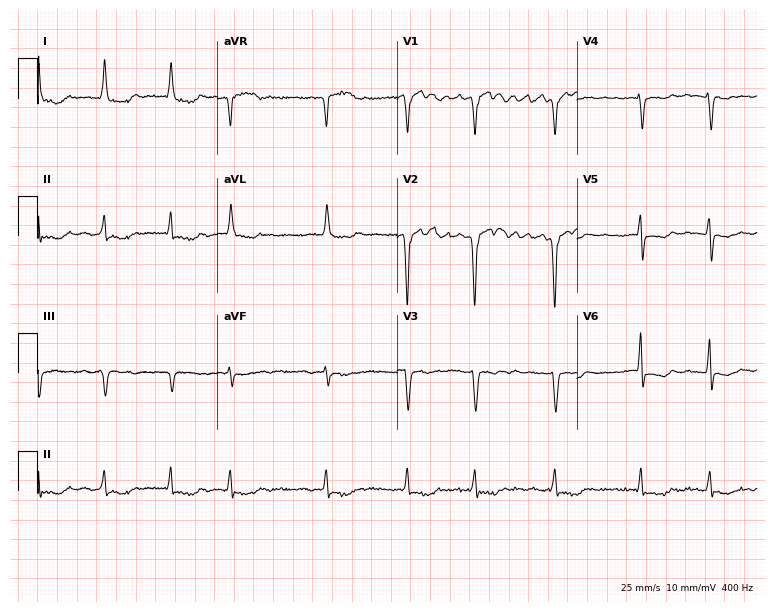
12-lead ECG from a female, 77 years old (7.3-second recording at 400 Hz). Shows atrial fibrillation (AF).